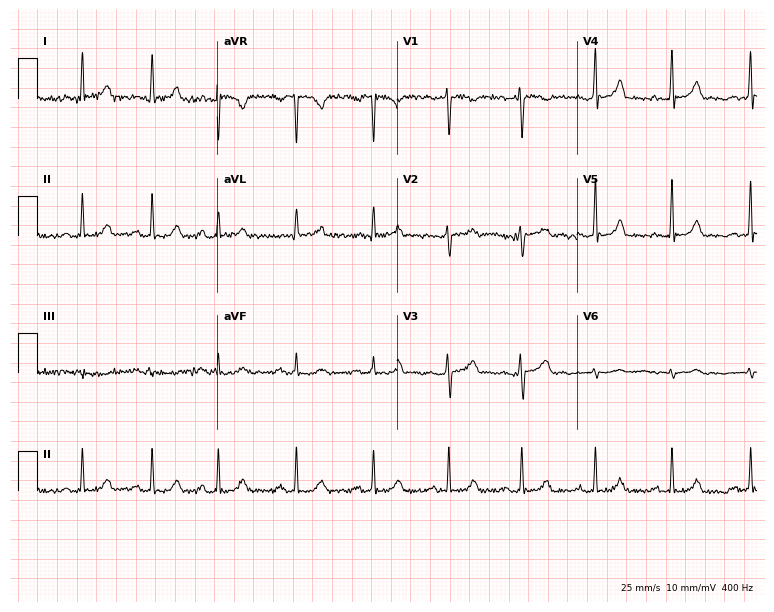
ECG (7.3-second recording at 400 Hz) — a 42-year-old woman. Screened for six findings — first-degree AV block, right bundle branch block, left bundle branch block, sinus bradycardia, atrial fibrillation, sinus tachycardia — none is recorded.